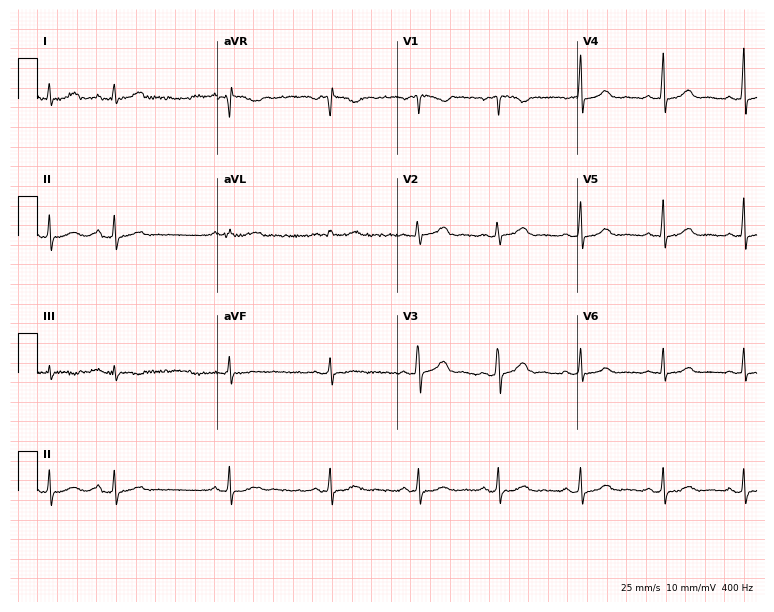
Resting 12-lead electrocardiogram. Patient: a 45-year-old female. None of these six findings is recorded: first-degree AV block, right bundle branch block, left bundle branch block, sinus bradycardia, atrial fibrillation, sinus tachycardia.